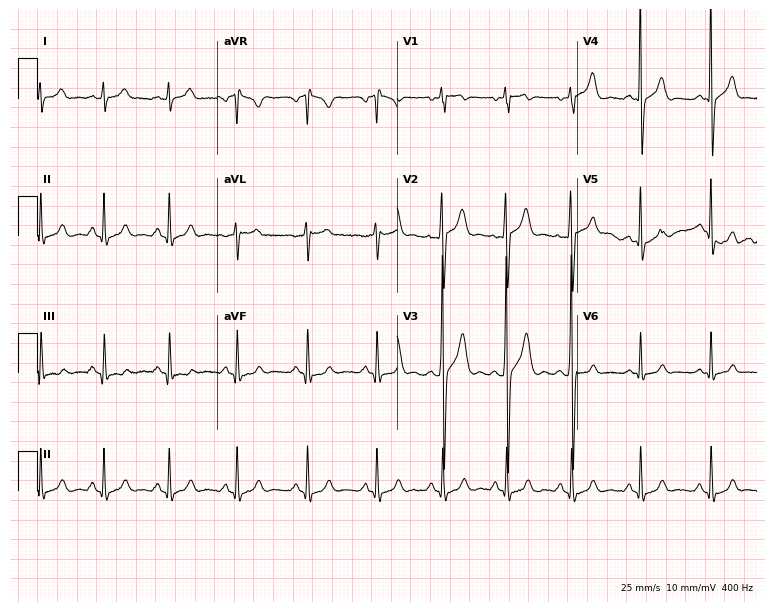
ECG — a 20-year-old male. Screened for six findings — first-degree AV block, right bundle branch block (RBBB), left bundle branch block (LBBB), sinus bradycardia, atrial fibrillation (AF), sinus tachycardia — none is recorded. Findings outside these six are not listed.